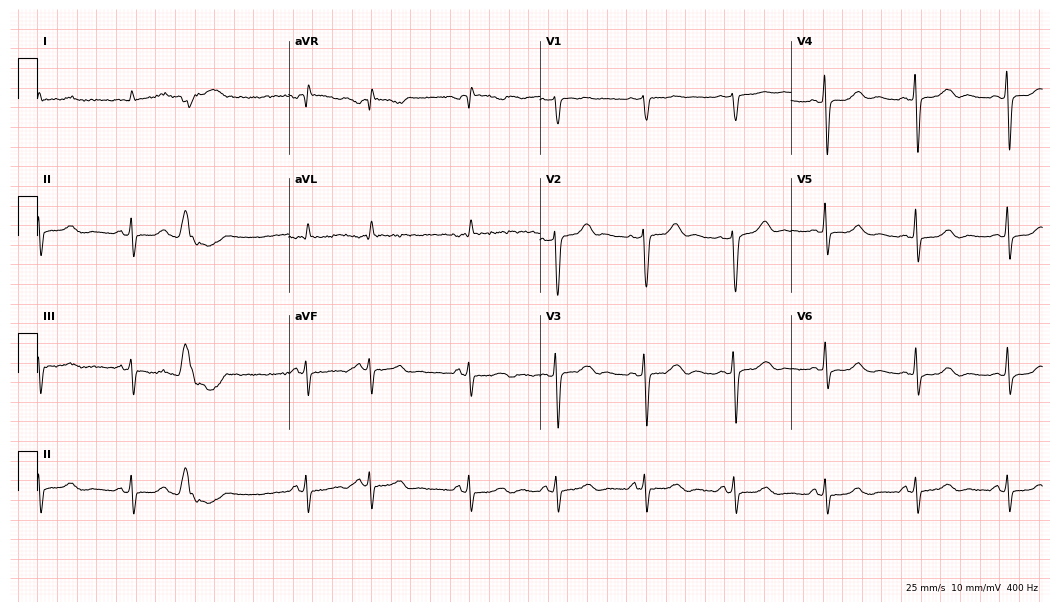
ECG (10.2-second recording at 400 Hz) — a male patient, 78 years old. Screened for six findings — first-degree AV block, right bundle branch block (RBBB), left bundle branch block (LBBB), sinus bradycardia, atrial fibrillation (AF), sinus tachycardia — none is recorded. Other findings, if any, are not listed.